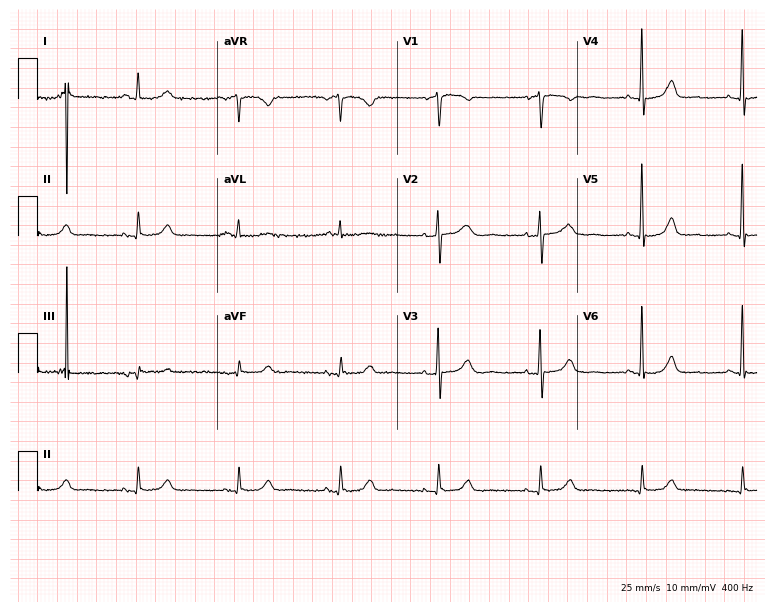
12-lead ECG from a female patient, 77 years old. No first-degree AV block, right bundle branch block, left bundle branch block, sinus bradycardia, atrial fibrillation or sinus tachycardia recorded for this tracing. Findings outside these six are not listed.